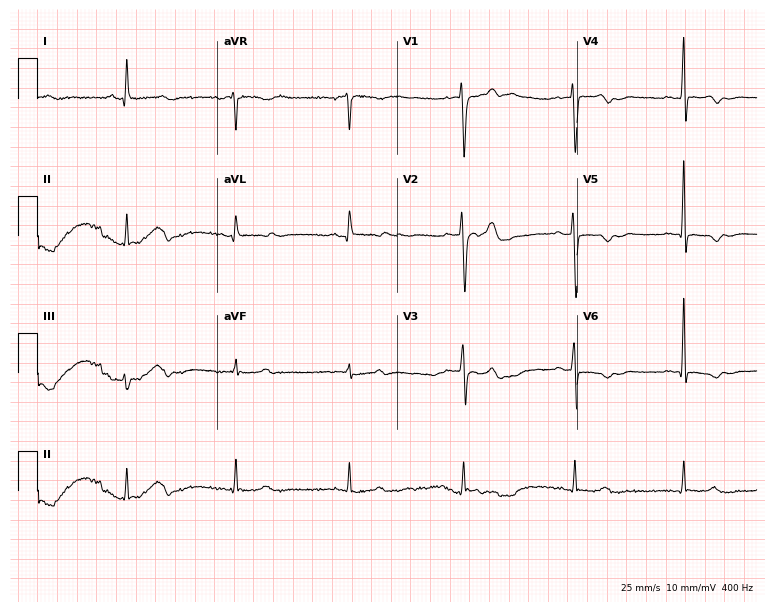
12-lead ECG from a 44-year-old male patient. Screened for six findings — first-degree AV block, right bundle branch block, left bundle branch block, sinus bradycardia, atrial fibrillation, sinus tachycardia — none is recorded. Findings outside these six are not listed.